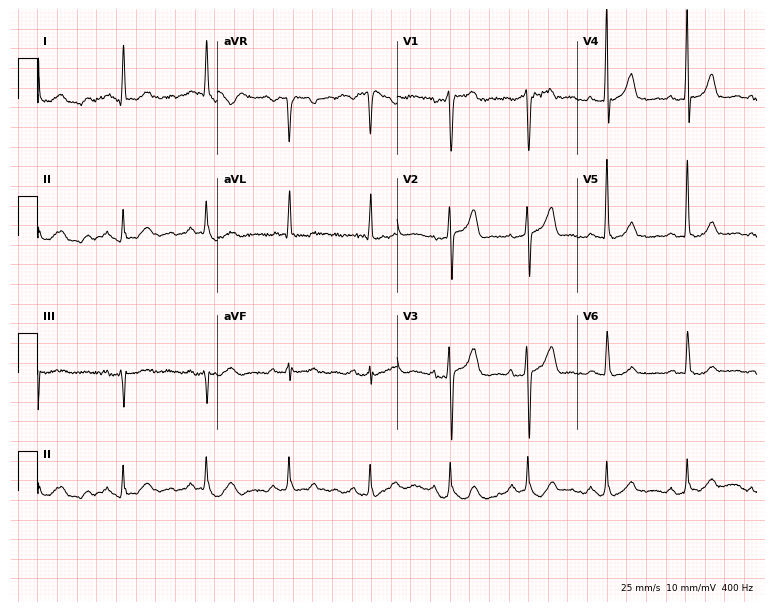
Standard 12-lead ECG recorded from a male patient, 58 years old (7.3-second recording at 400 Hz). Read as a normal ECG.